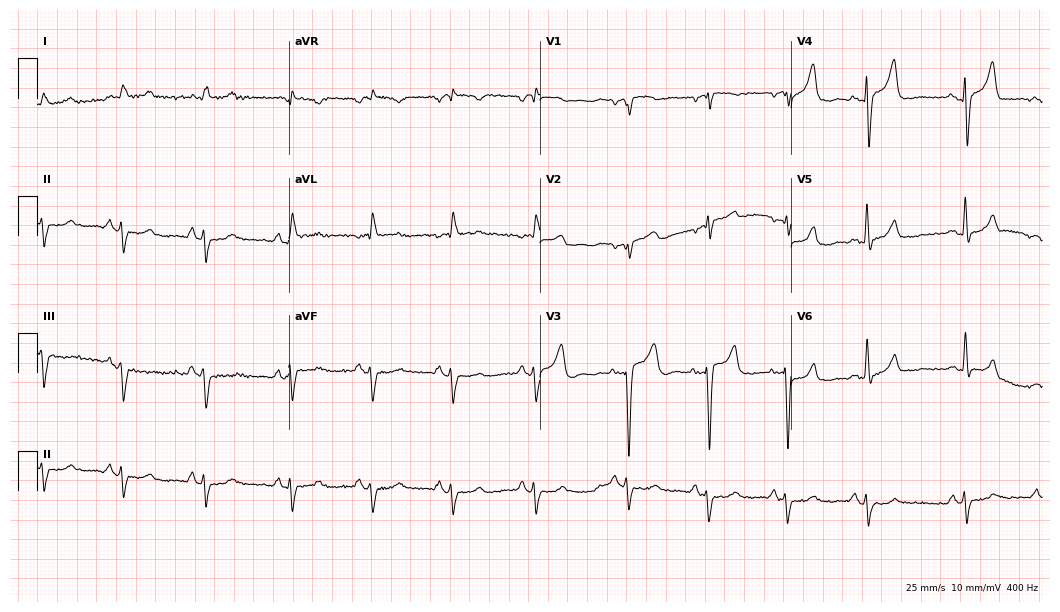
Standard 12-lead ECG recorded from a 74-year-old male. None of these six findings is recorded: first-degree AV block, right bundle branch block (RBBB), left bundle branch block (LBBB), sinus bradycardia, atrial fibrillation (AF), sinus tachycardia. Only these six findings were labelled.